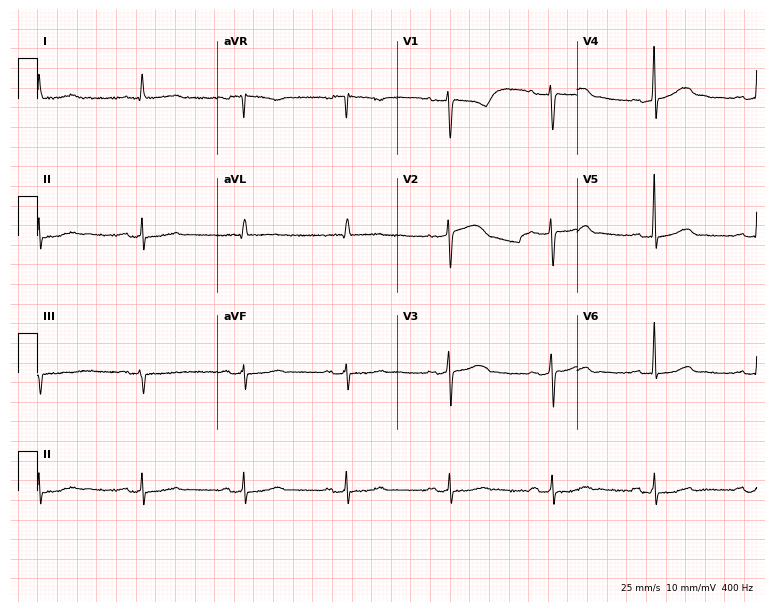
ECG (7.3-second recording at 400 Hz) — a 72-year-old female. Screened for six findings — first-degree AV block, right bundle branch block, left bundle branch block, sinus bradycardia, atrial fibrillation, sinus tachycardia — none is recorded.